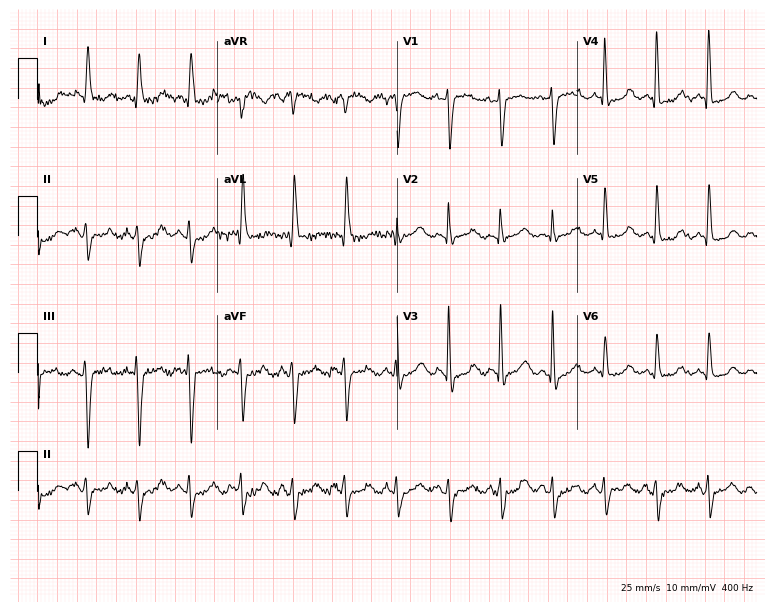
Resting 12-lead electrocardiogram (7.3-second recording at 400 Hz). Patient: a female, 69 years old. The tracing shows sinus tachycardia (a sinus rate of 100 beats per minute or more).